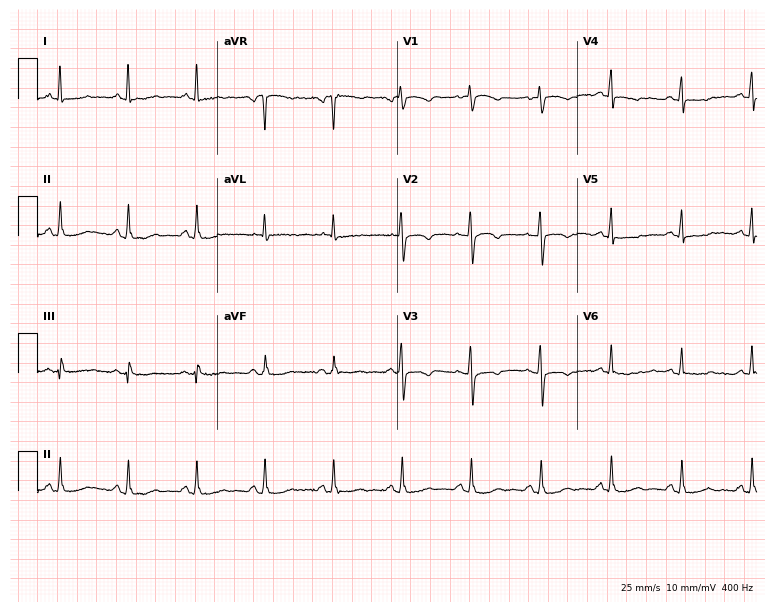
12-lead ECG (7.3-second recording at 400 Hz) from a woman, 59 years old. Screened for six findings — first-degree AV block, right bundle branch block, left bundle branch block, sinus bradycardia, atrial fibrillation, sinus tachycardia — none is recorded.